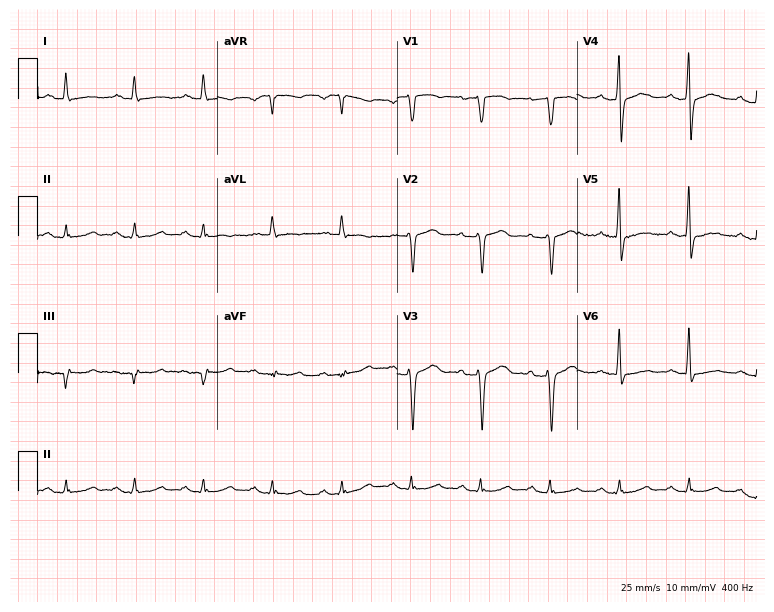
Electrocardiogram (7.3-second recording at 400 Hz), a 63-year-old female patient. Of the six screened findings (first-degree AV block, right bundle branch block, left bundle branch block, sinus bradycardia, atrial fibrillation, sinus tachycardia), none is recorded. Findings outside these six are not listed.